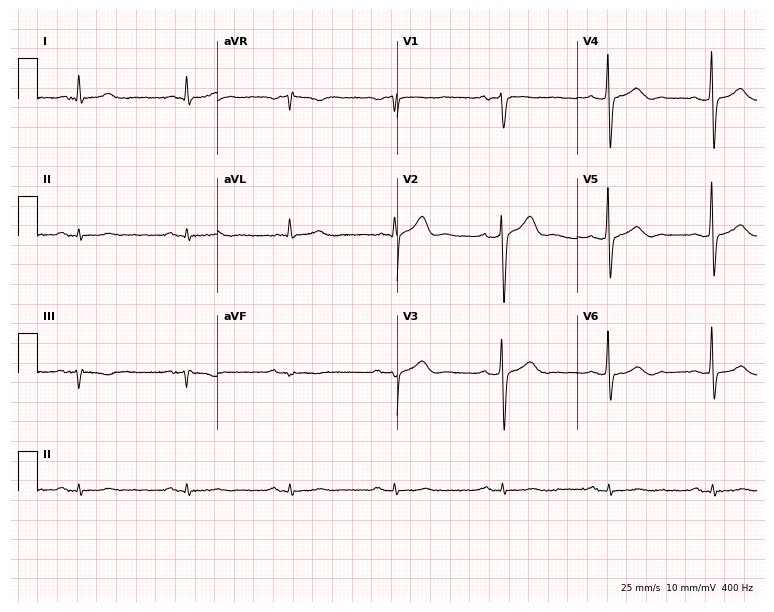
ECG — a 41-year-old male patient. Screened for six findings — first-degree AV block, right bundle branch block, left bundle branch block, sinus bradycardia, atrial fibrillation, sinus tachycardia — none is recorded.